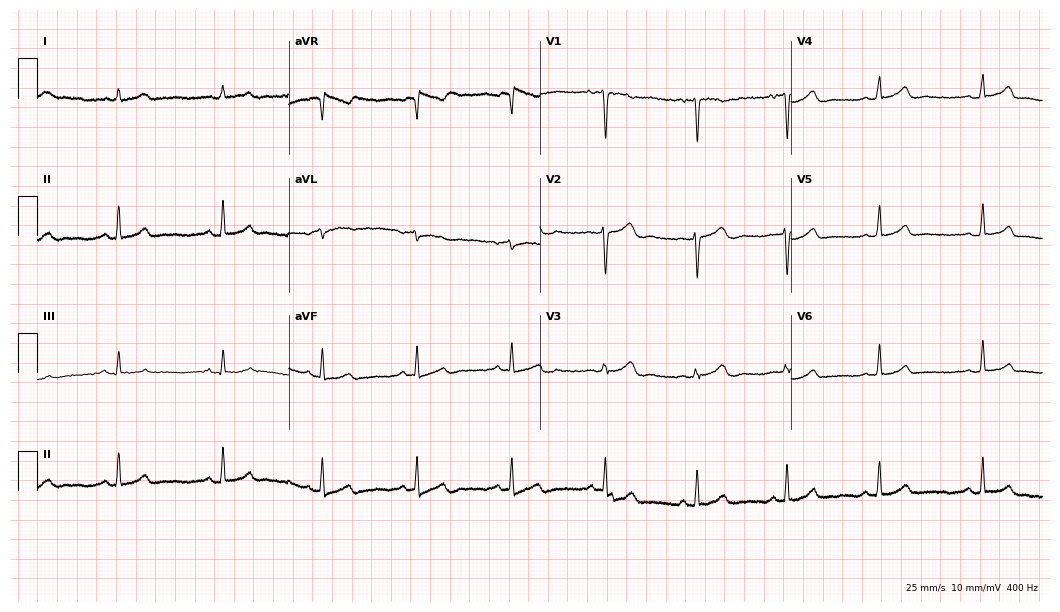
Standard 12-lead ECG recorded from a male, 77 years old. Read as a normal ECG.